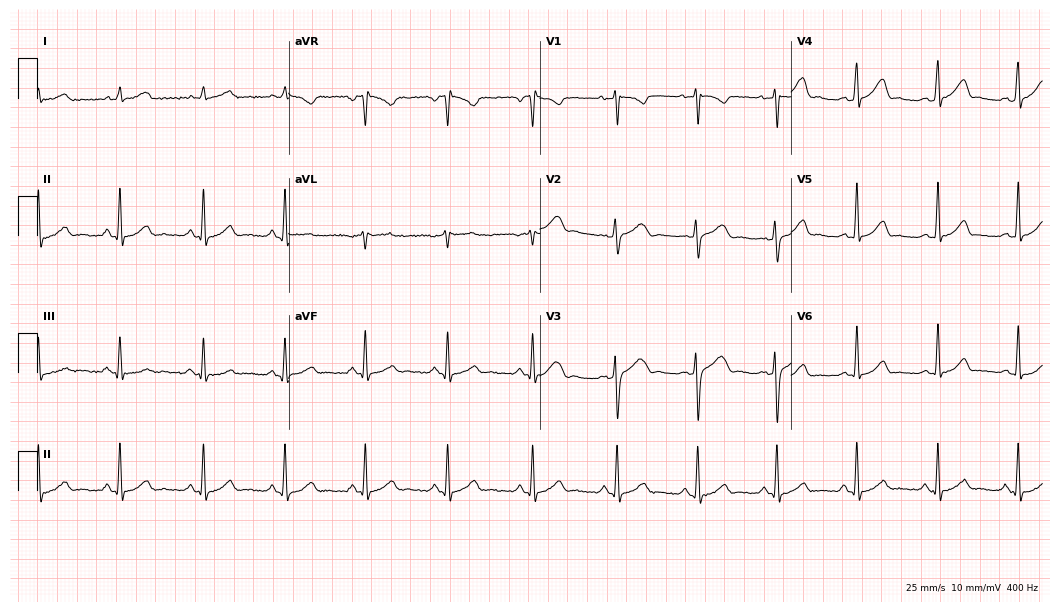
12-lead ECG from a female patient, 31 years old. Labelled as a normal ECG.